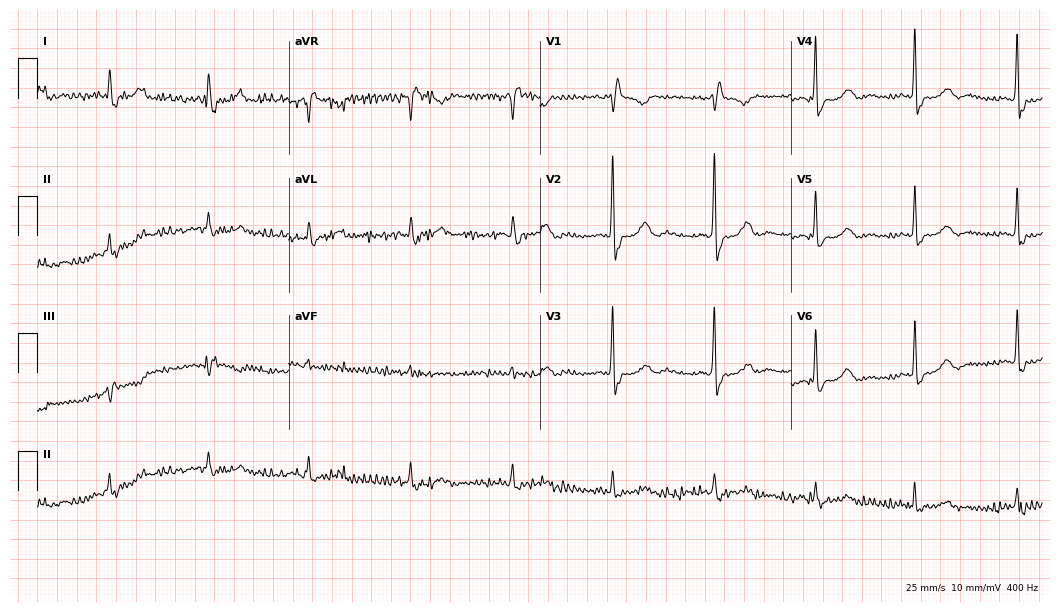
Standard 12-lead ECG recorded from a woman, 79 years old. The tracing shows right bundle branch block (RBBB).